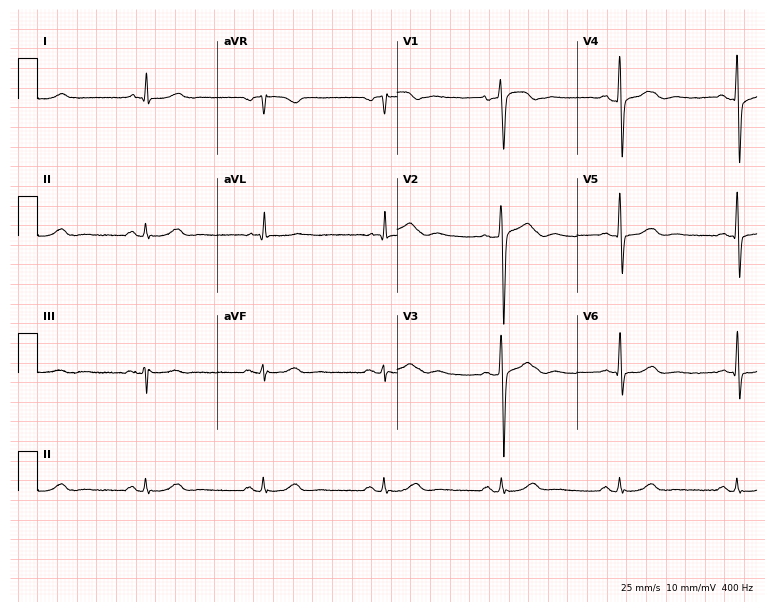
Electrocardiogram (7.3-second recording at 400 Hz), a man, 65 years old. Of the six screened findings (first-degree AV block, right bundle branch block, left bundle branch block, sinus bradycardia, atrial fibrillation, sinus tachycardia), none is recorded.